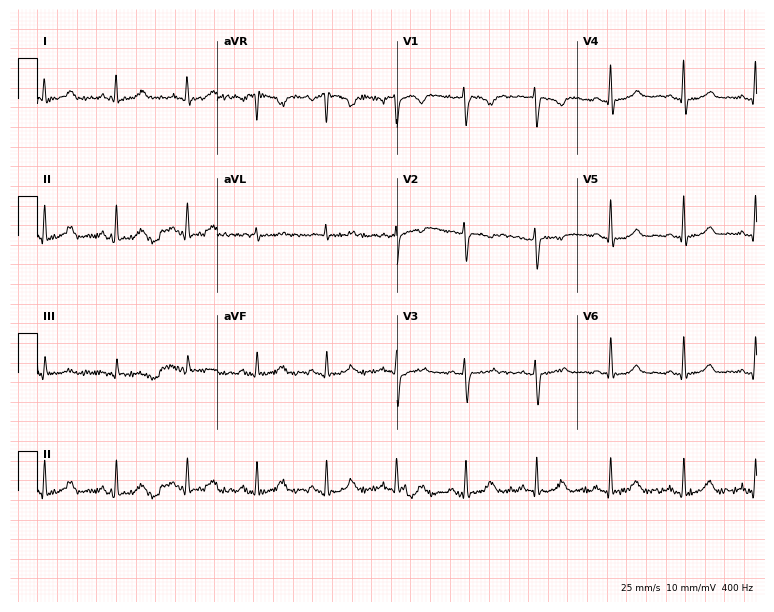
Electrocardiogram (7.3-second recording at 400 Hz), a 40-year-old female patient. Of the six screened findings (first-degree AV block, right bundle branch block (RBBB), left bundle branch block (LBBB), sinus bradycardia, atrial fibrillation (AF), sinus tachycardia), none is recorded.